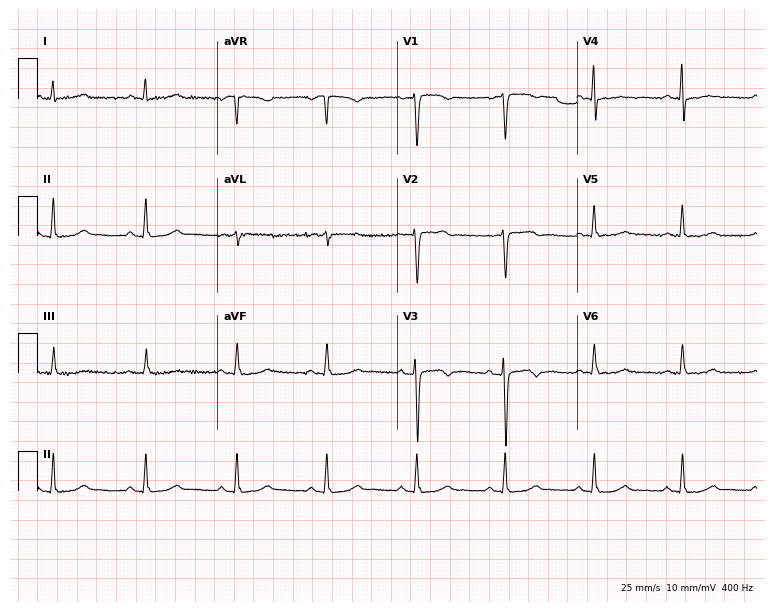
Standard 12-lead ECG recorded from a woman, 46 years old. None of these six findings is recorded: first-degree AV block, right bundle branch block, left bundle branch block, sinus bradycardia, atrial fibrillation, sinus tachycardia. Other findings, if any, are not listed.